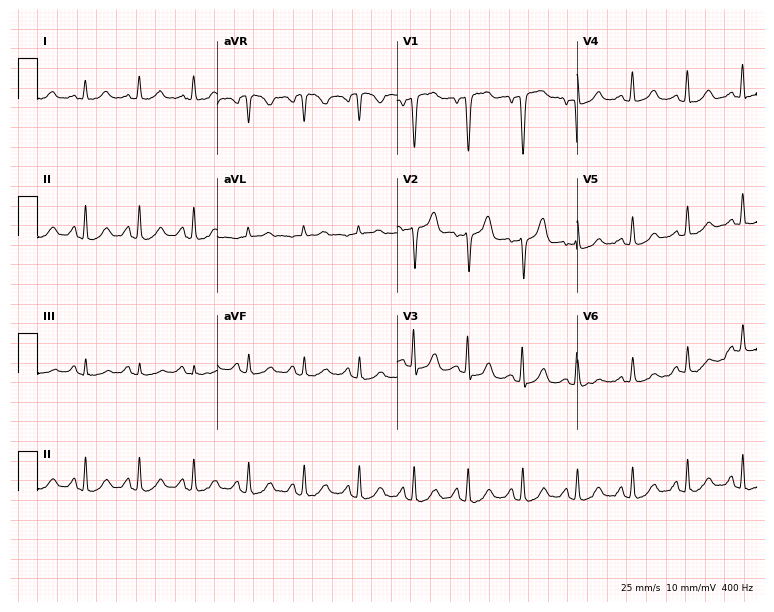
12-lead ECG from a 54-year-old man (7.3-second recording at 400 Hz). Shows sinus tachycardia (a sinus rate of 100 beats per minute or more).